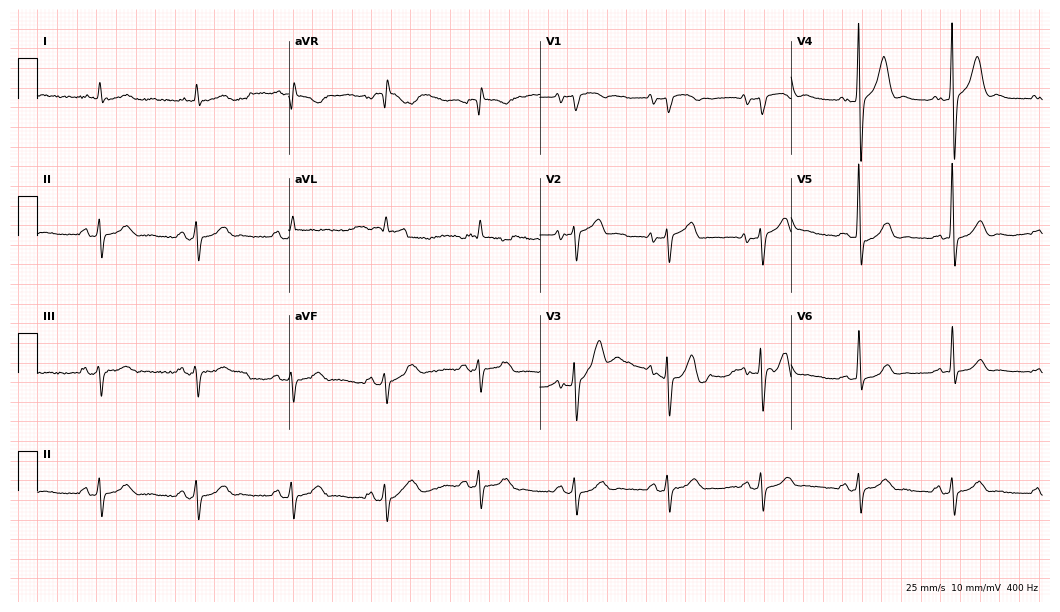
12-lead ECG from a man, 81 years old. Screened for six findings — first-degree AV block, right bundle branch block (RBBB), left bundle branch block (LBBB), sinus bradycardia, atrial fibrillation (AF), sinus tachycardia — none is recorded. Findings outside these six are not listed.